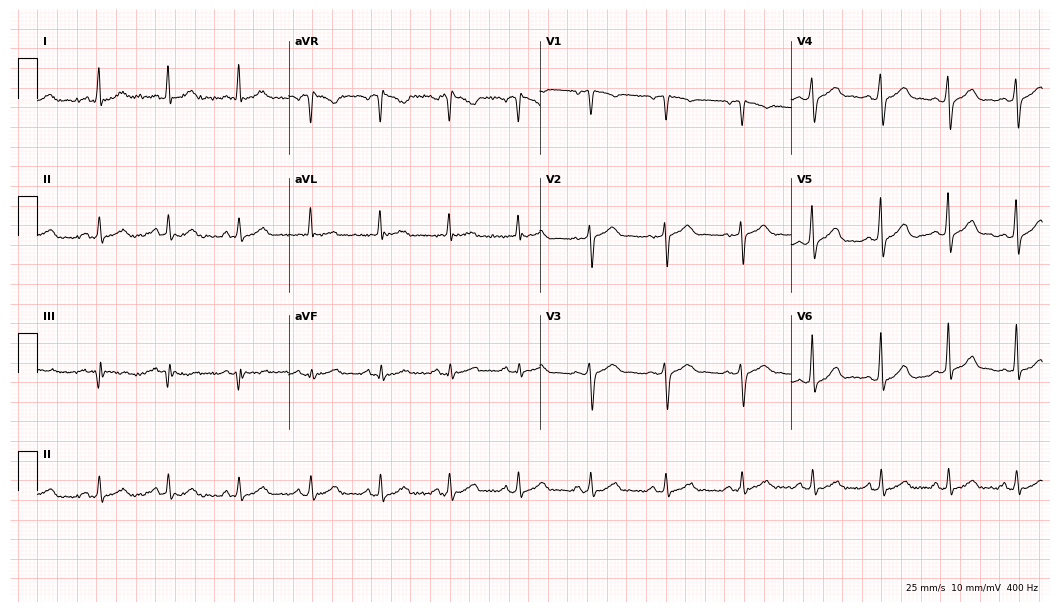
Resting 12-lead electrocardiogram. Patient: a man, 39 years old. None of these six findings is recorded: first-degree AV block, right bundle branch block (RBBB), left bundle branch block (LBBB), sinus bradycardia, atrial fibrillation (AF), sinus tachycardia.